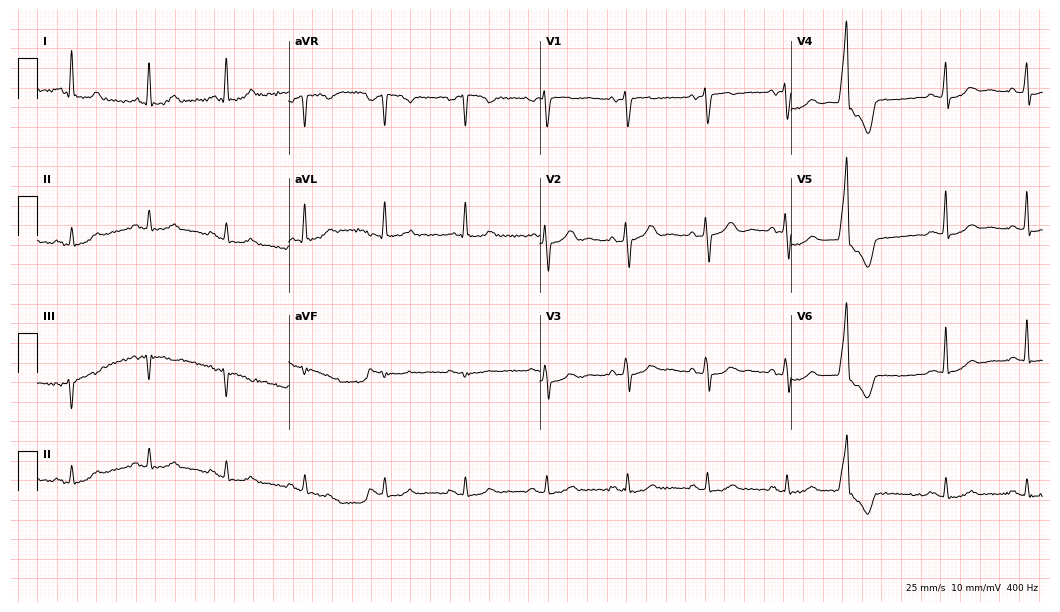
12-lead ECG from a 76-year-old male (10.2-second recording at 400 Hz). No first-degree AV block, right bundle branch block, left bundle branch block, sinus bradycardia, atrial fibrillation or sinus tachycardia recorded for this tracing. Only these six findings were labelled.